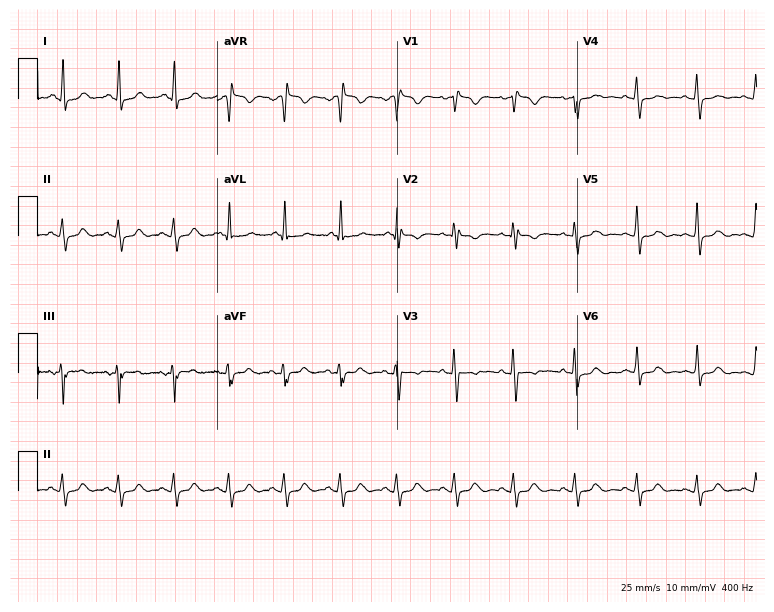
12-lead ECG from a 38-year-old female patient. Screened for six findings — first-degree AV block, right bundle branch block, left bundle branch block, sinus bradycardia, atrial fibrillation, sinus tachycardia — none is recorded.